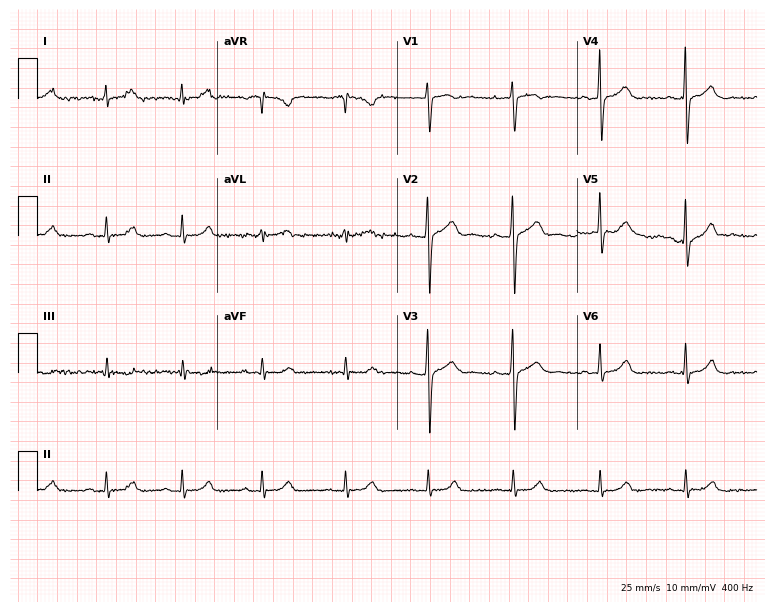
Standard 12-lead ECG recorded from a female, 33 years old. Read as a normal ECG.